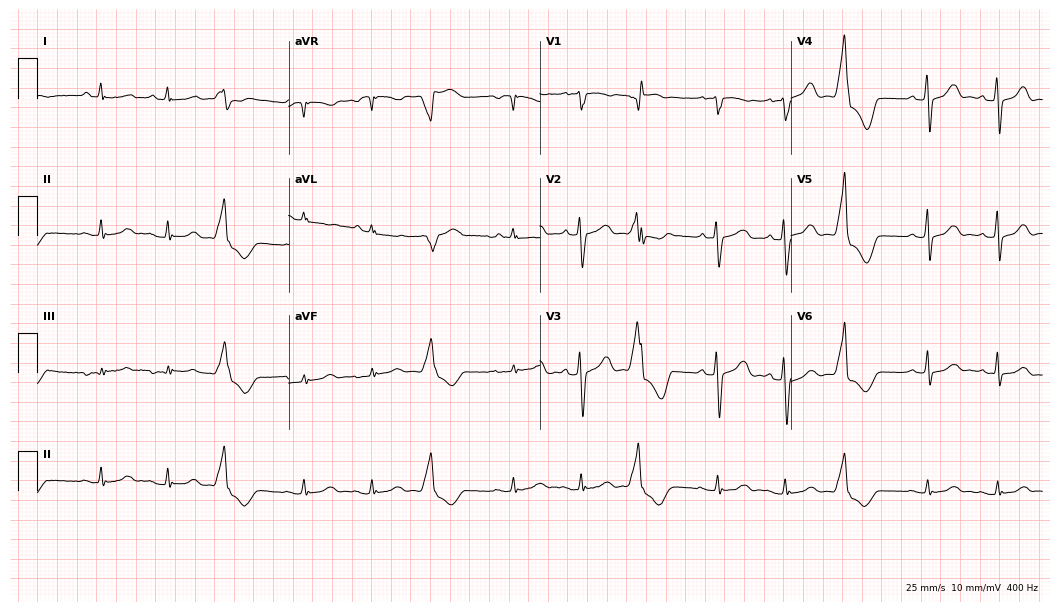
12-lead ECG from a male patient, 80 years old (10.2-second recording at 400 Hz). Recorded interpretation: within normal limits.